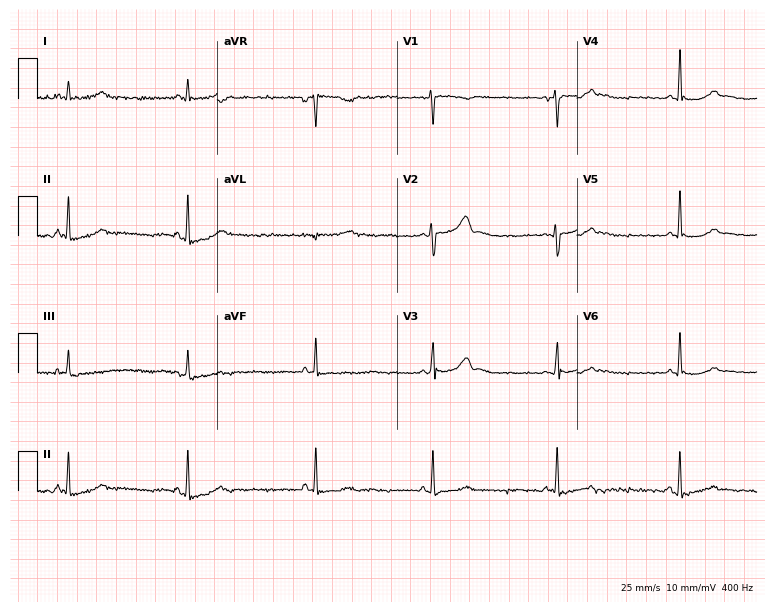
Standard 12-lead ECG recorded from a 33-year-old woman (7.3-second recording at 400 Hz). None of these six findings is recorded: first-degree AV block, right bundle branch block, left bundle branch block, sinus bradycardia, atrial fibrillation, sinus tachycardia. Only these six findings were labelled.